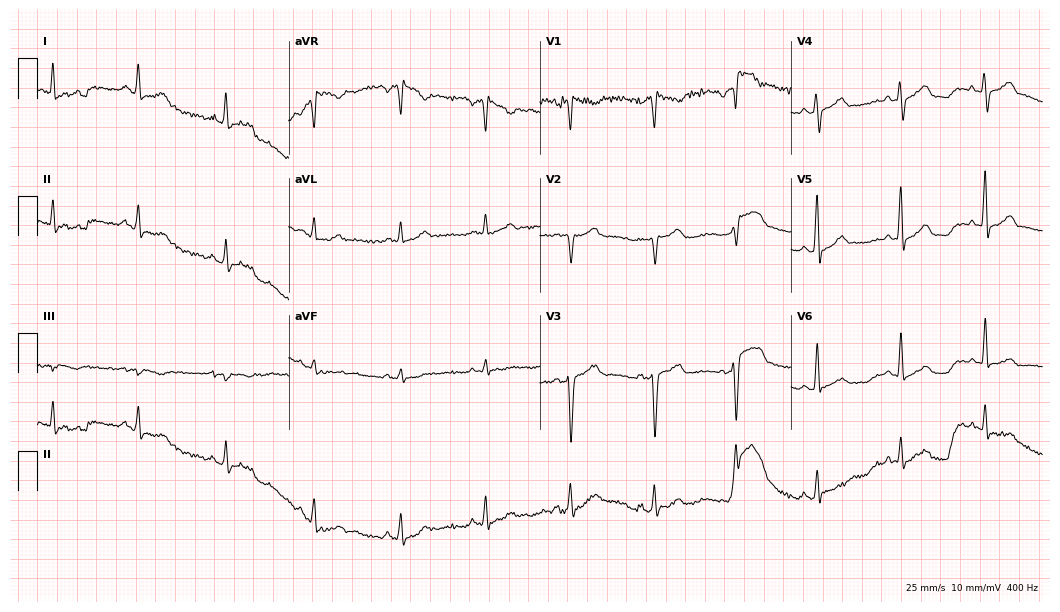
Standard 12-lead ECG recorded from a male, 37 years old. None of these six findings is recorded: first-degree AV block, right bundle branch block (RBBB), left bundle branch block (LBBB), sinus bradycardia, atrial fibrillation (AF), sinus tachycardia. Only these six findings were labelled.